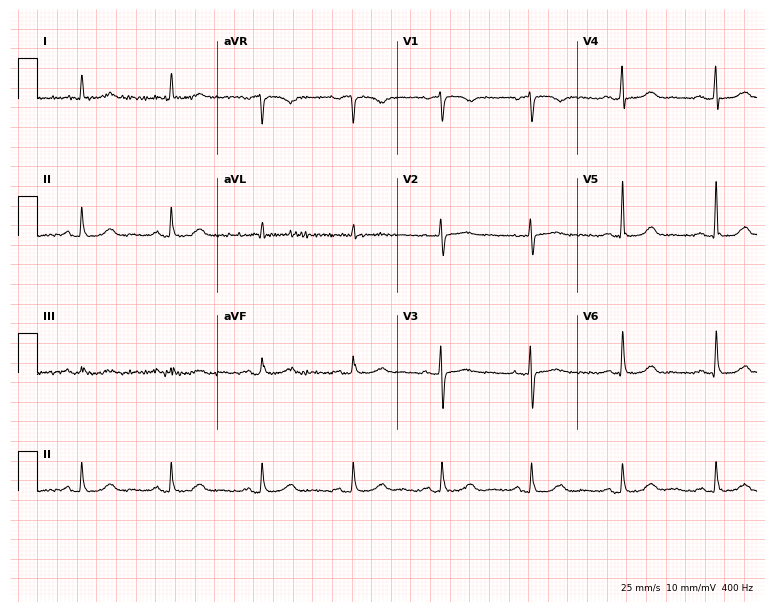
Resting 12-lead electrocardiogram (7.3-second recording at 400 Hz). Patient: a female, 72 years old. Read as a normal ECG.